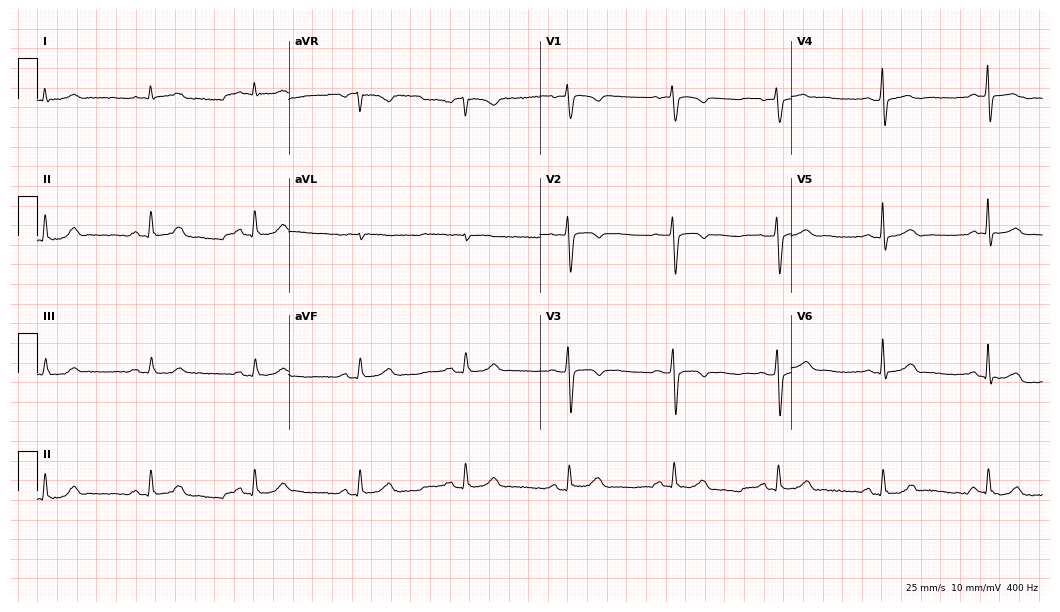
ECG — a male patient, 79 years old. Screened for six findings — first-degree AV block, right bundle branch block, left bundle branch block, sinus bradycardia, atrial fibrillation, sinus tachycardia — none is recorded.